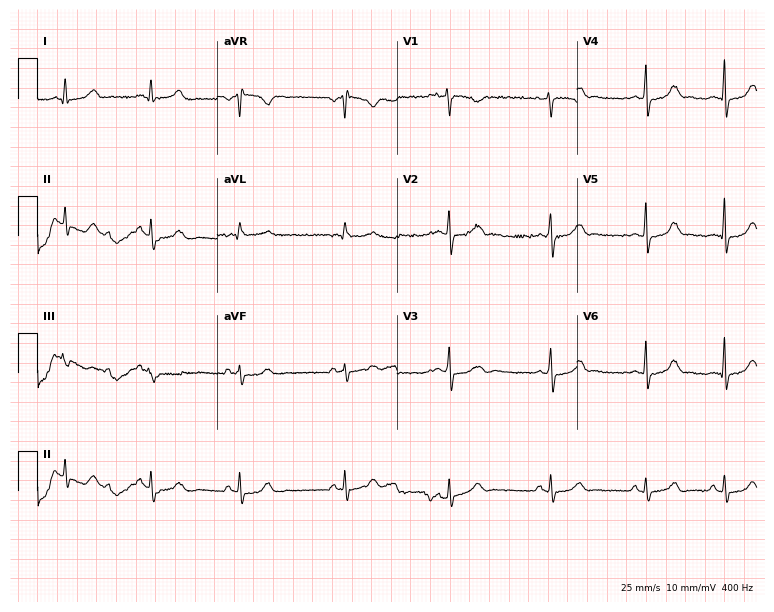
Resting 12-lead electrocardiogram. Patient: a female, 30 years old. Read as a normal ECG.